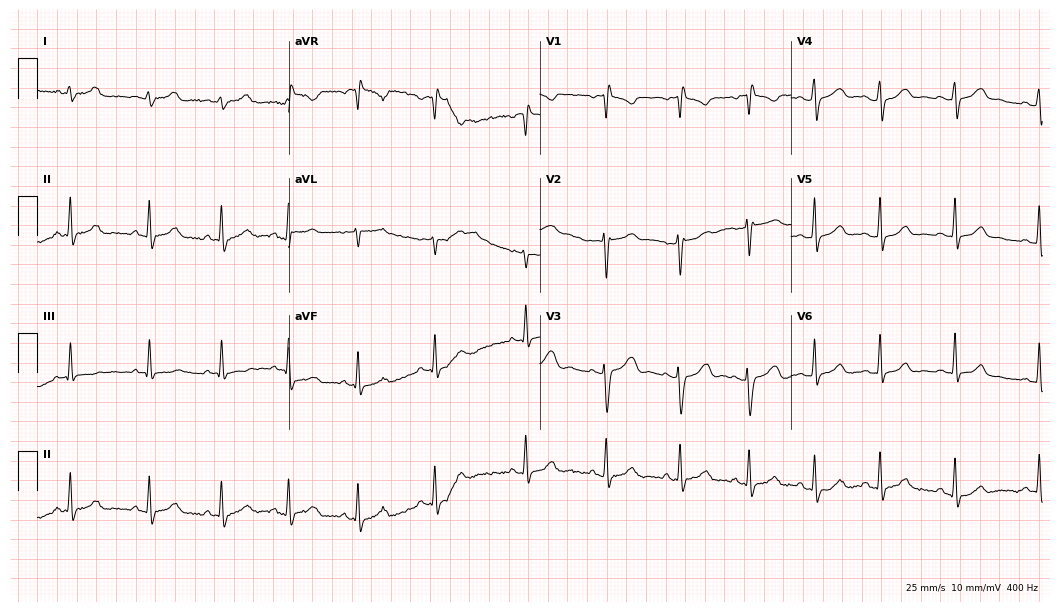
12-lead ECG from a 21-year-old woman (10.2-second recording at 400 Hz). No first-degree AV block, right bundle branch block (RBBB), left bundle branch block (LBBB), sinus bradycardia, atrial fibrillation (AF) or sinus tachycardia recorded for this tracing.